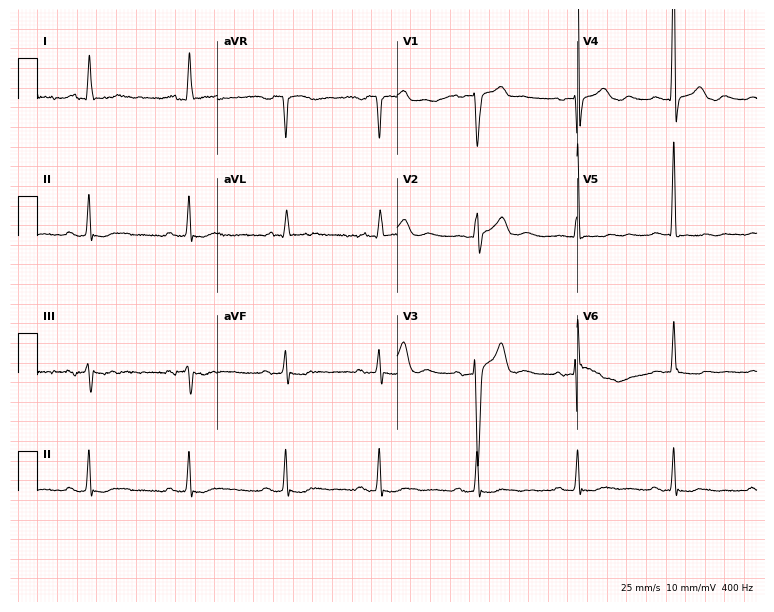
Standard 12-lead ECG recorded from a man, 47 years old (7.3-second recording at 400 Hz). None of these six findings is recorded: first-degree AV block, right bundle branch block, left bundle branch block, sinus bradycardia, atrial fibrillation, sinus tachycardia. Only these six findings were labelled.